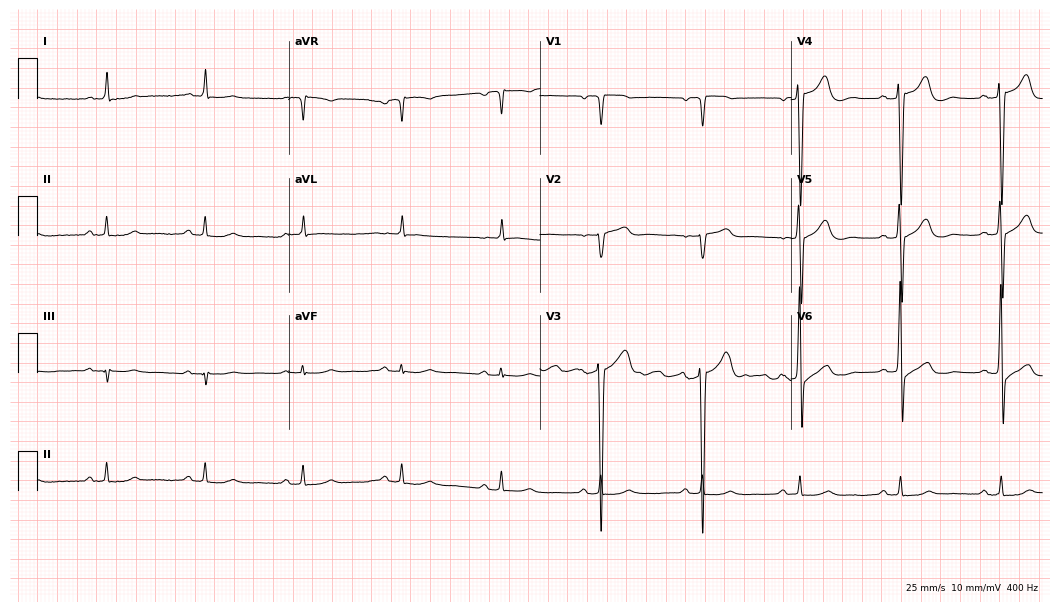
ECG (10.2-second recording at 400 Hz) — a male, 76 years old. Labelled as a normal ECG.